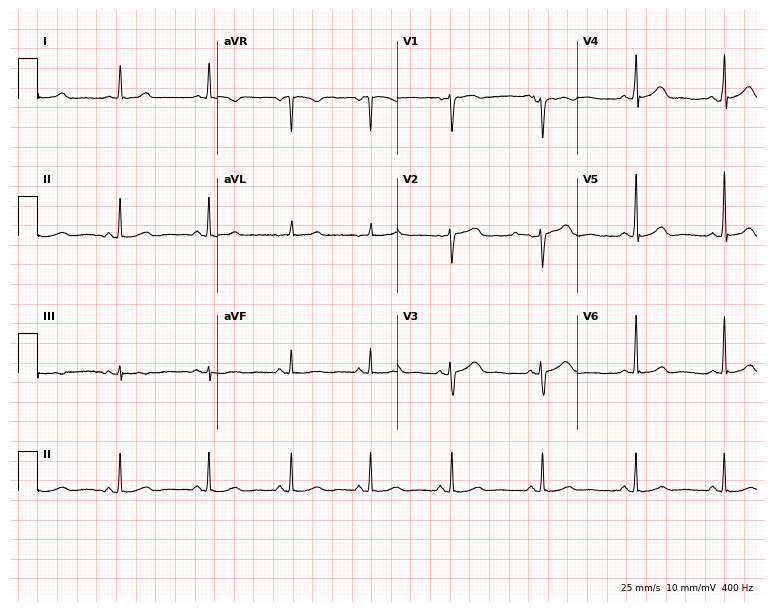
Resting 12-lead electrocardiogram (7.3-second recording at 400 Hz). Patient: a 49-year-old female. None of these six findings is recorded: first-degree AV block, right bundle branch block (RBBB), left bundle branch block (LBBB), sinus bradycardia, atrial fibrillation (AF), sinus tachycardia.